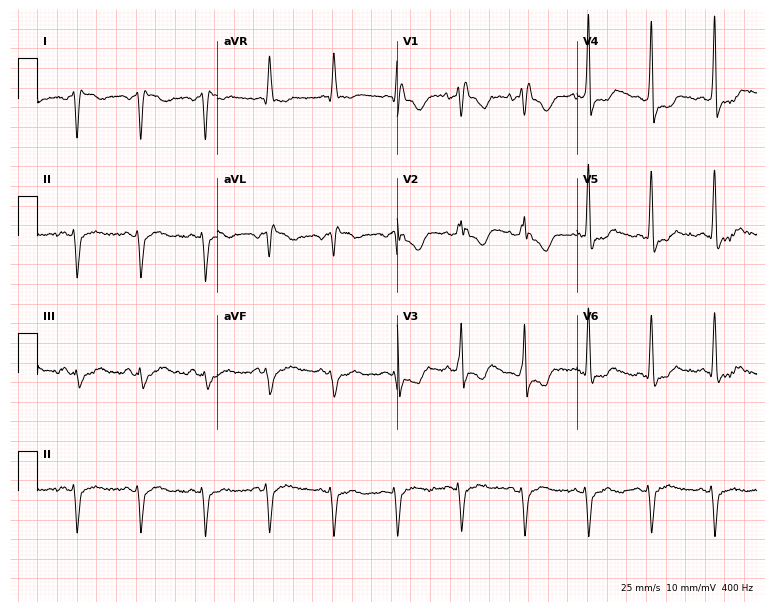
ECG (7.3-second recording at 400 Hz) — a man, 70 years old. Screened for six findings — first-degree AV block, right bundle branch block, left bundle branch block, sinus bradycardia, atrial fibrillation, sinus tachycardia — none is recorded. Other findings, if any, are not listed.